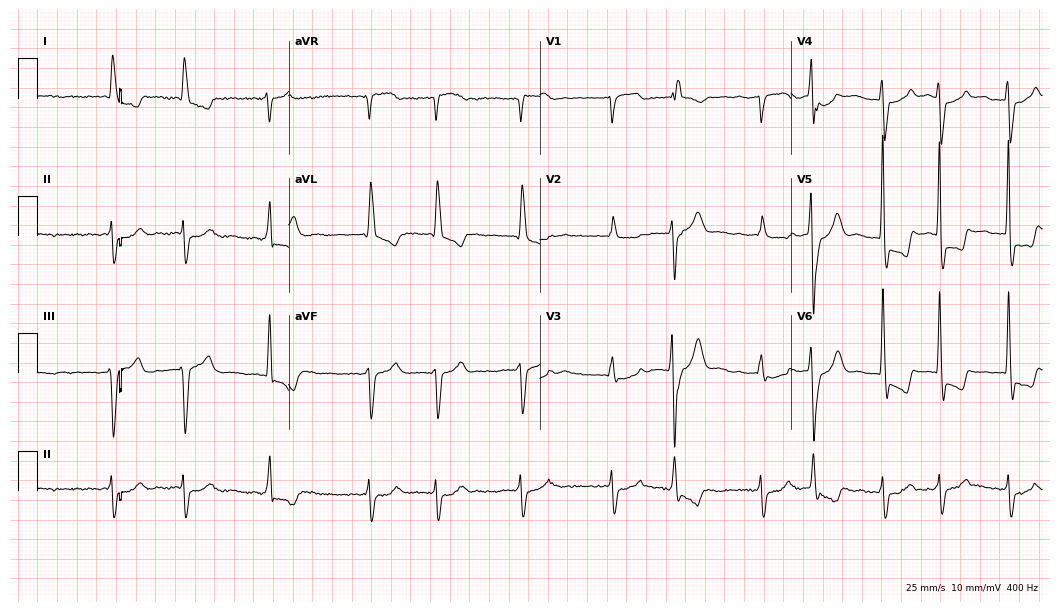
ECG — a female patient, 80 years old. Findings include atrial fibrillation (AF).